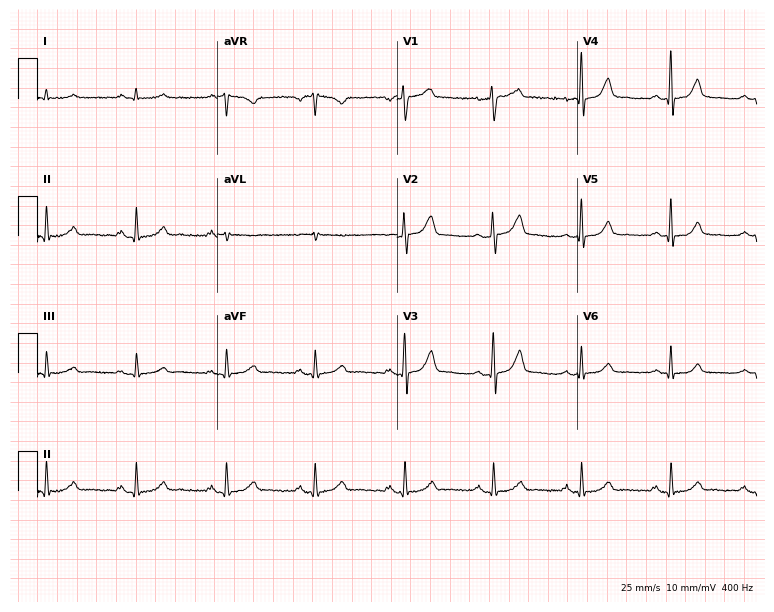
12-lead ECG from a 56-year-old male patient. No first-degree AV block, right bundle branch block, left bundle branch block, sinus bradycardia, atrial fibrillation or sinus tachycardia recorded for this tracing. Only these six findings were labelled.